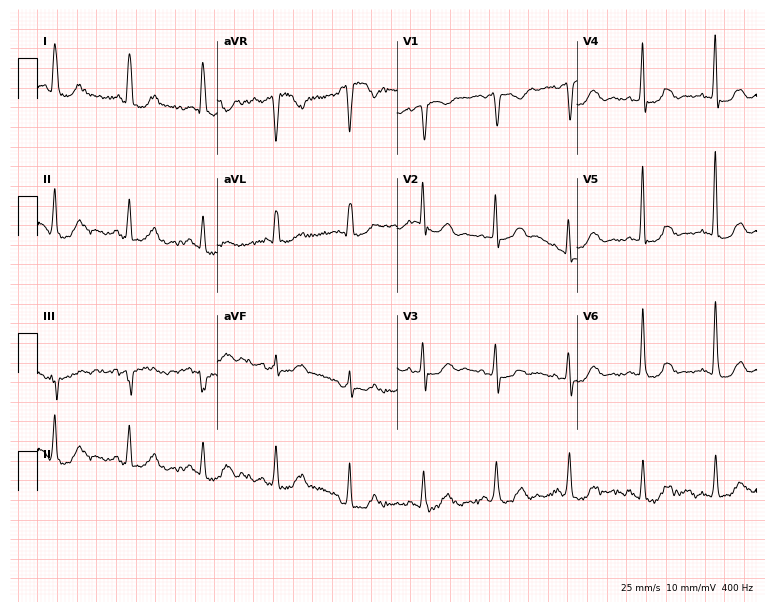
Standard 12-lead ECG recorded from a 75-year-old female patient (7.3-second recording at 400 Hz). None of these six findings is recorded: first-degree AV block, right bundle branch block, left bundle branch block, sinus bradycardia, atrial fibrillation, sinus tachycardia. Only these six findings were labelled.